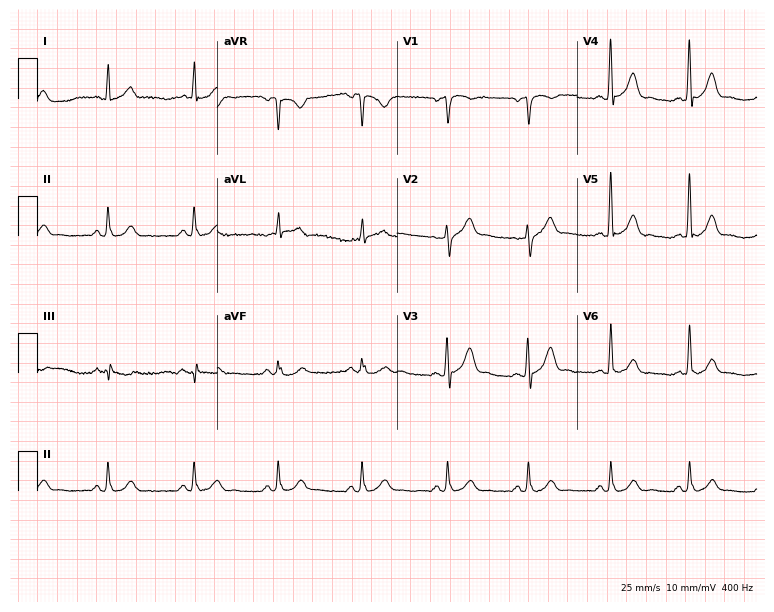
Standard 12-lead ECG recorded from a 56-year-old male patient (7.3-second recording at 400 Hz). Read as a normal ECG.